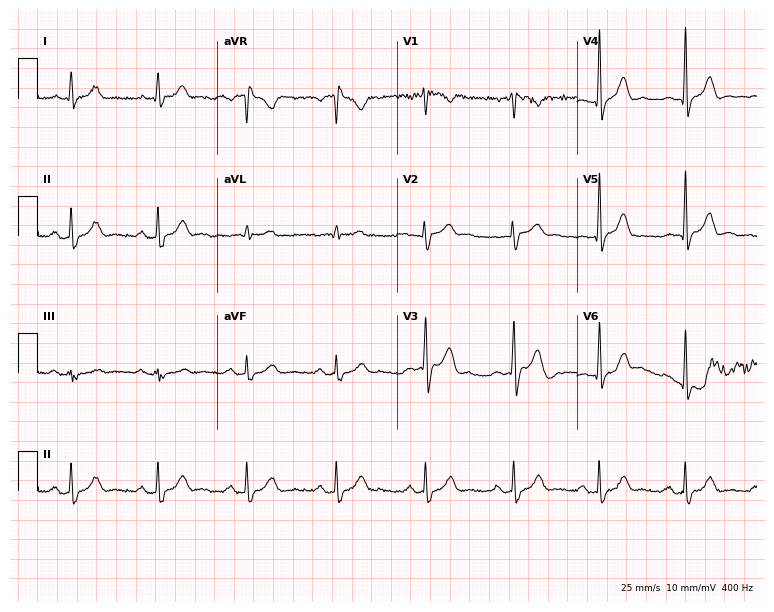
Resting 12-lead electrocardiogram. Patient: a male, 40 years old. None of these six findings is recorded: first-degree AV block, right bundle branch block, left bundle branch block, sinus bradycardia, atrial fibrillation, sinus tachycardia.